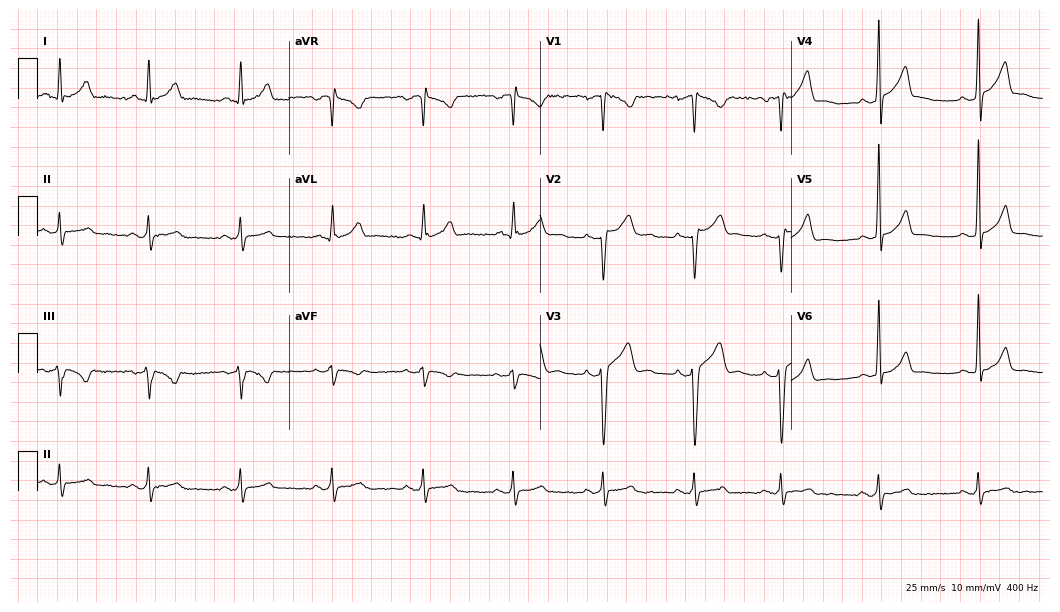
Electrocardiogram, a man, 24 years old. Of the six screened findings (first-degree AV block, right bundle branch block, left bundle branch block, sinus bradycardia, atrial fibrillation, sinus tachycardia), none is recorded.